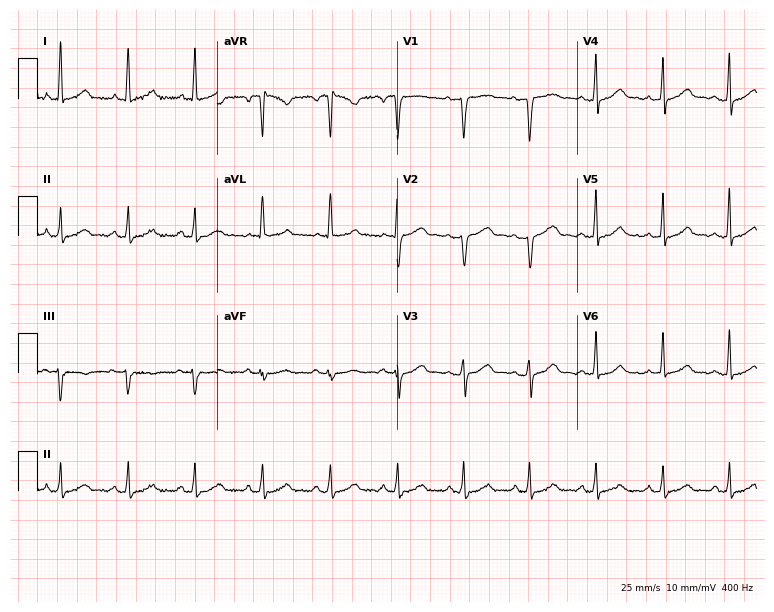
Standard 12-lead ECG recorded from a female, 44 years old (7.3-second recording at 400 Hz). None of these six findings is recorded: first-degree AV block, right bundle branch block (RBBB), left bundle branch block (LBBB), sinus bradycardia, atrial fibrillation (AF), sinus tachycardia. Findings outside these six are not listed.